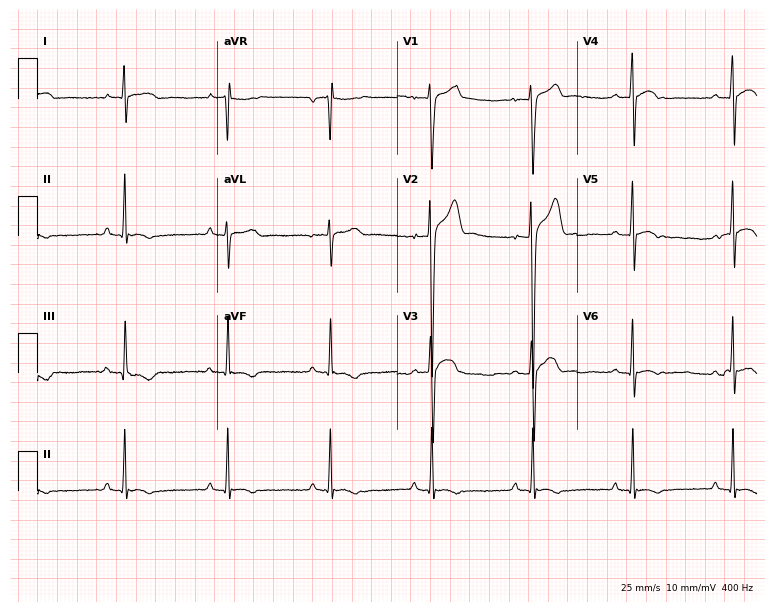
Standard 12-lead ECG recorded from a man, 18 years old. None of these six findings is recorded: first-degree AV block, right bundle branch block (RBBB), left bundle branch block (LBBB), sinus bradycardia, atrial fibrillation (AF), sinus tachycardia. Findings outside these six are not listed.